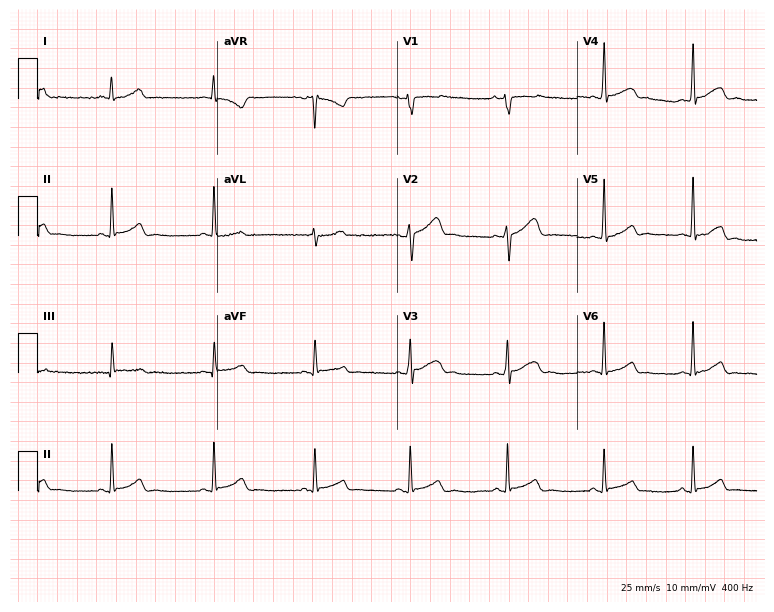
Electrocardiogram (7.3-second recording at 400 Hz), a female patient, 21 years old. Overall reading on record: normal ECG.